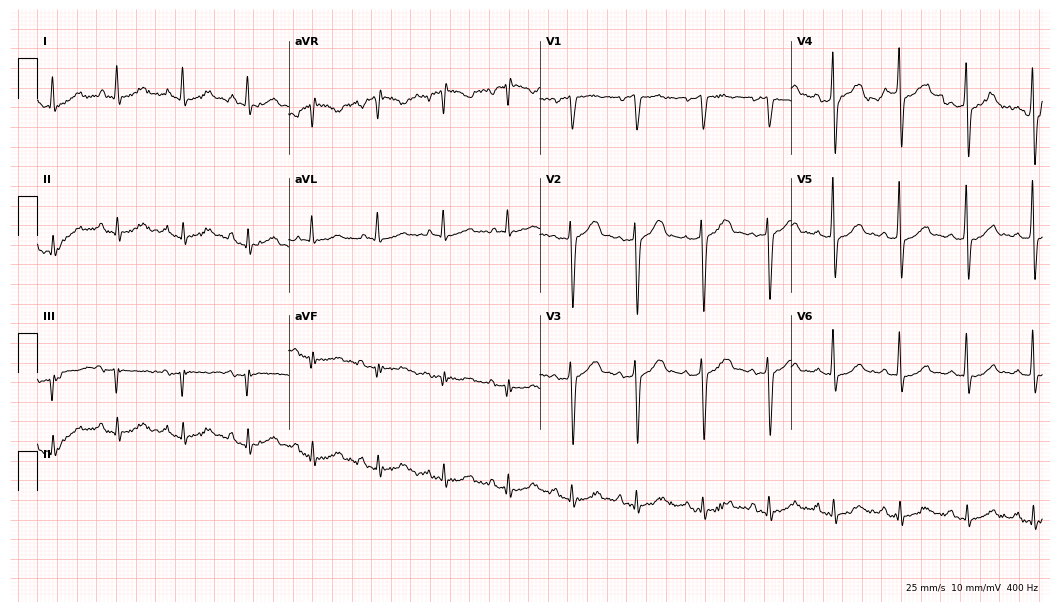
Resting 12-lead electrocardiogram (10.2-second recording at 400 Hz). Patient: a male, 49 years old. Read as a normal ECG.